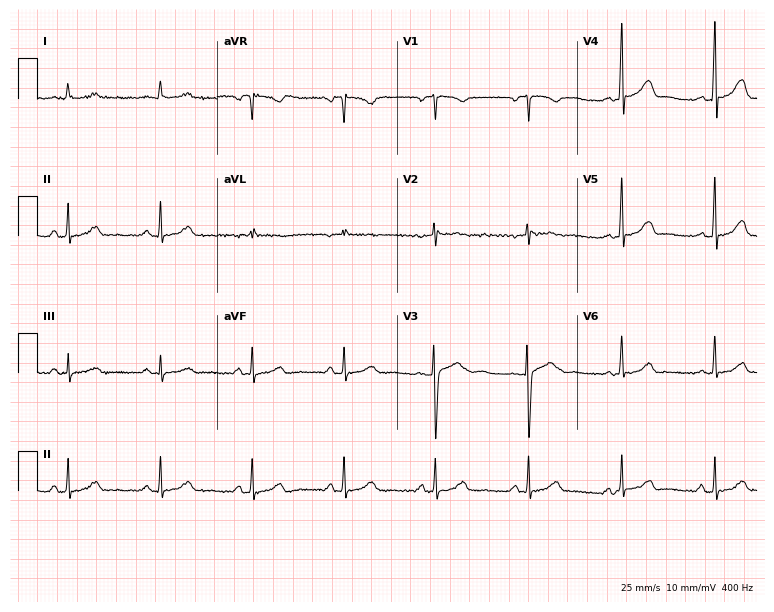
12-lead ECG from a 50-year-old female patient. Recorded interpretation: within normal limits.